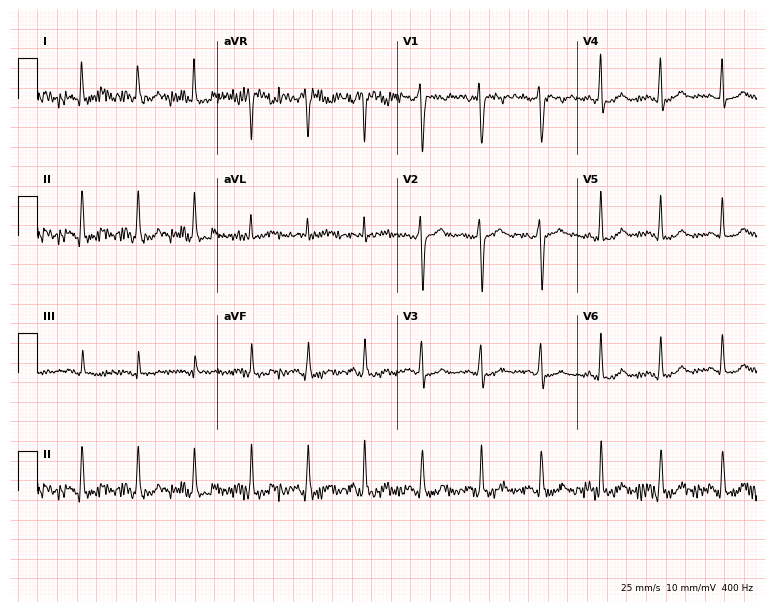
12-lead ECG from a female, 38 years old. Shows sinus tachycardia (a sinus rate of 100 beats per minute or more).